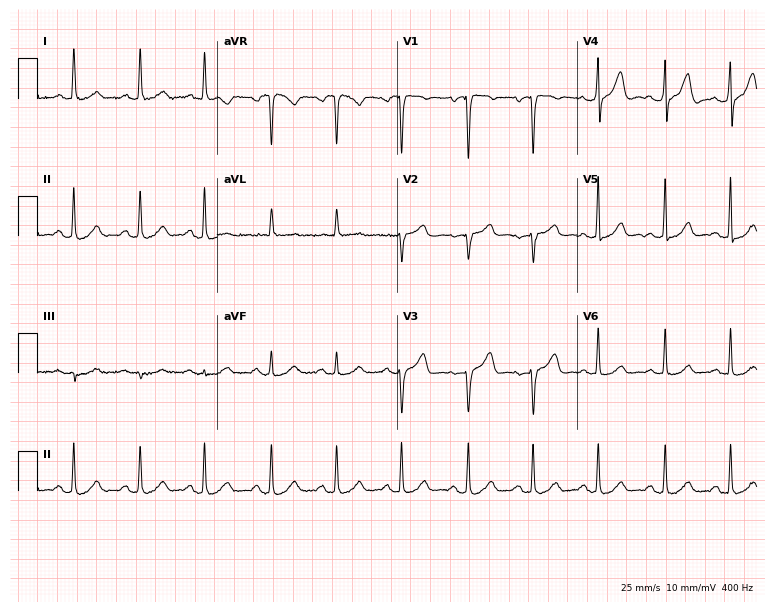
Resting 12-lead electrocardiogram. Patient: a woman, 80 years old. None of these six findings is recorded: first-degree AV block, right bundle branch block, left bundle branch block, sinus bradycardia, atrial fibrillation, sinus tachycardia. Other findings, if any, are not listed.